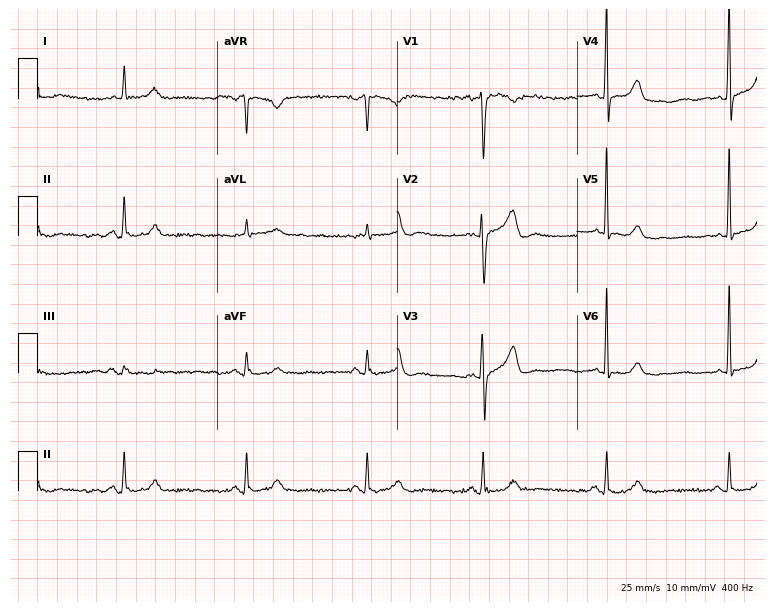
12-lead ECG from a 48-year-old female. Findings include sinus bradycardia (a sinus rate of 50 beats per minute or less).